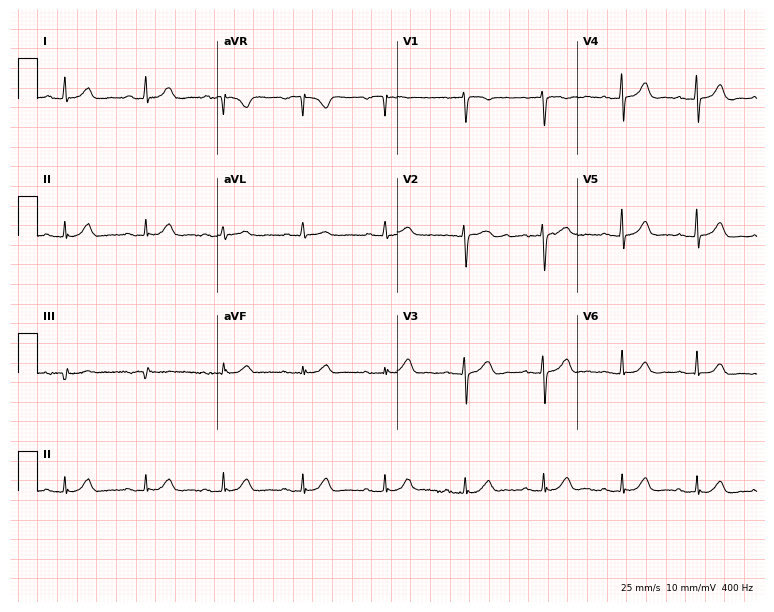
Standard 12-lead ECG recorded from a woman, 69 years old. Read as a normal ECG.